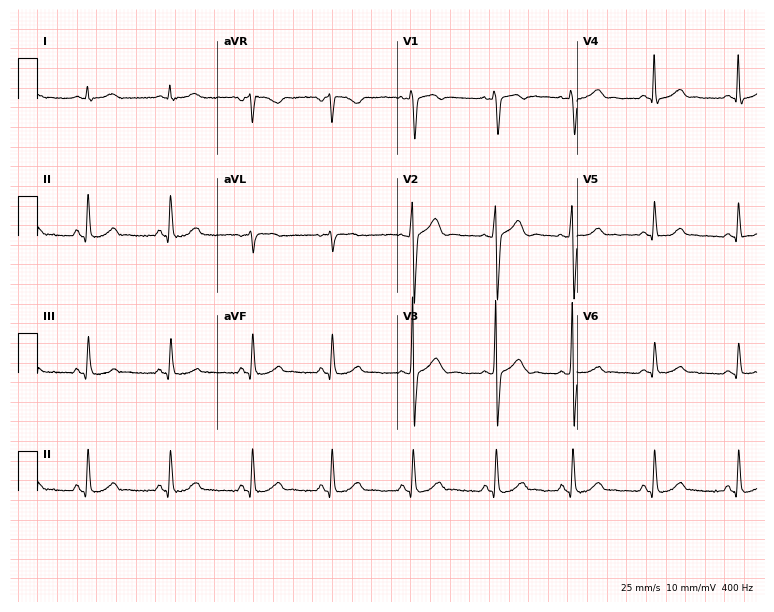
ECG — a 29-year-old woman. Screened for six findings — first-degree AV block, right bundle branch block (RBBB), left bundle branch block (LBBB), sinus bradycardia, atrial fibrillation (AF), sinus tachycardia — none is recorded.